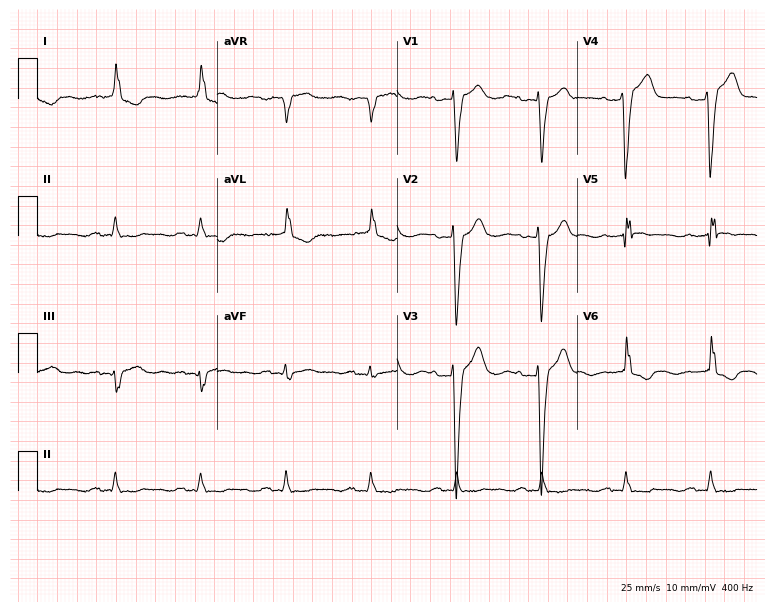
12-lead ECG from a female, 80 years old. Findings include left bundle branch block.